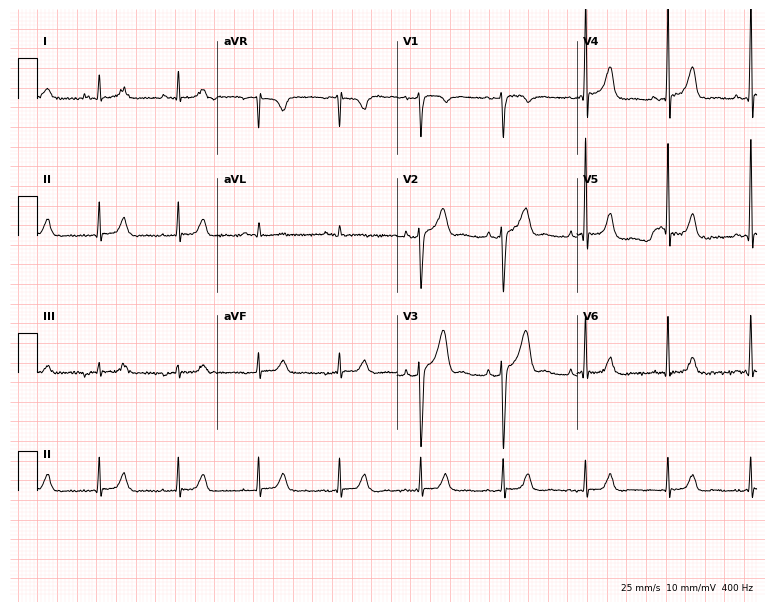
ECG — a 64-year-old male. Screened for six findings — first-degree AV block, right bundle branch block, left bundle branch block, sinus bradycardia, atrial fibrillation, sinus tachycardia — none is recorded.